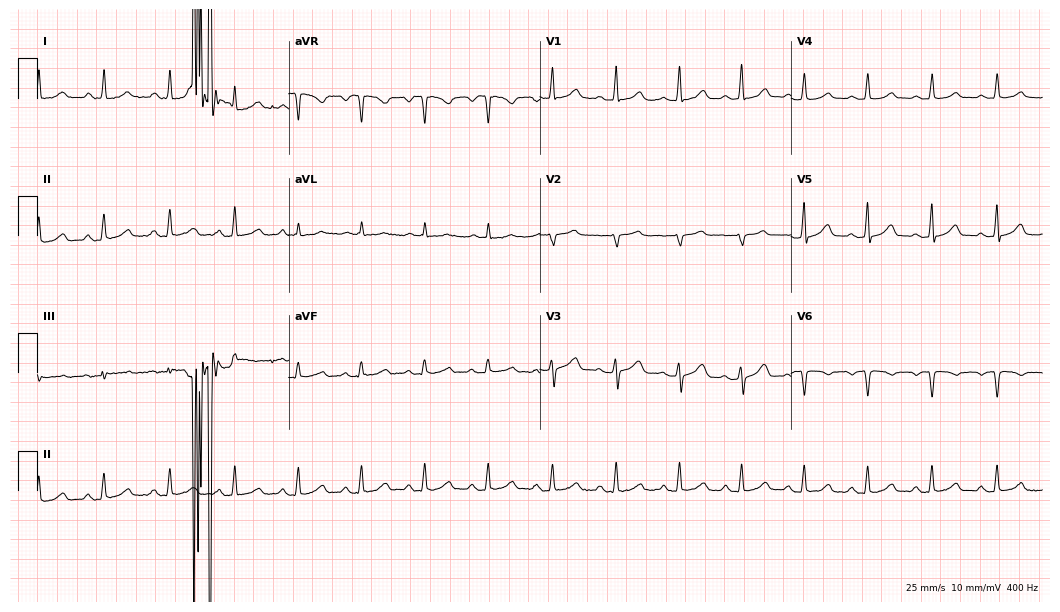
12-lead ECG (10.2-second recording at 400 Hz) from a 59-year-old female patient. Screened for six findings — first-degree AV block, right bundle branch block (RBBB), left bundle branch block (LBBB), sinus bradycardia, atrial fibrillation (AF), sinus tachycardia — none is recorded.